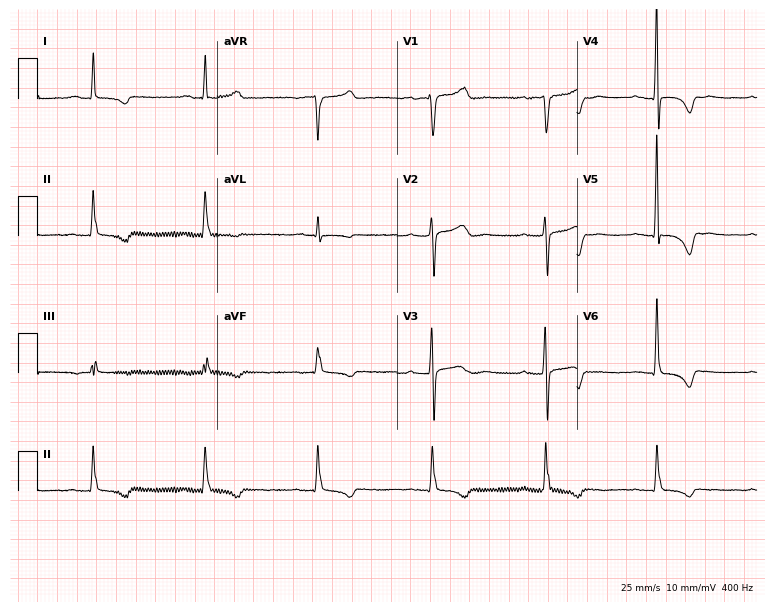
Electrocardiogram, a 59-year-old woman. Of the six screened findings (first-degree AV block, right bundle branch block, left bundle branch block, sinus bradycardia, atrial fibrillation, sinus tachycardia), none is recorded. Other findings, if any, are not listed.